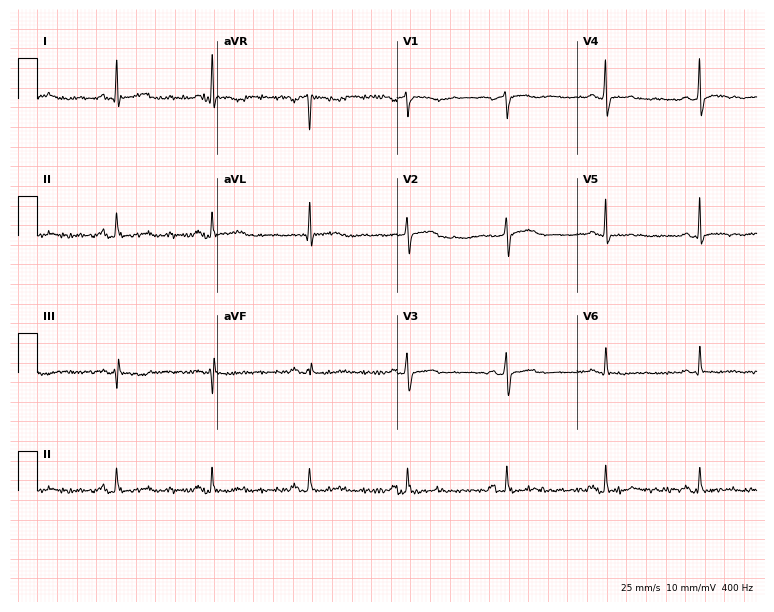
ECG — a 65-year-old female. Screened for six findings — first-degree AV block, right bundle branch block, left bundle branch block, sinus bradycardia, atrial fibrillation, sinus tachycardia — none is recorded.